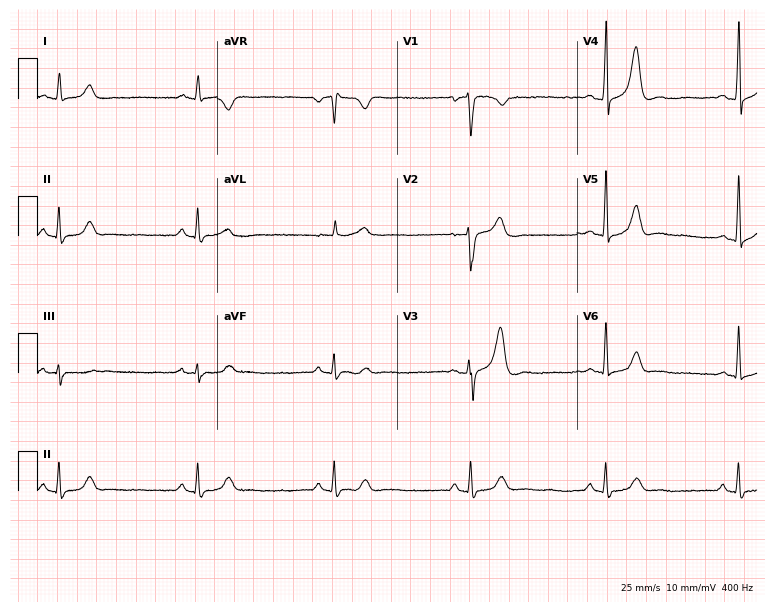
12-lead ECG (7.3-second recording at 400 Hz) from a male, 52 years old. Findings include sinus bradycardia (a sinus rate of 50 beats per minute or less).